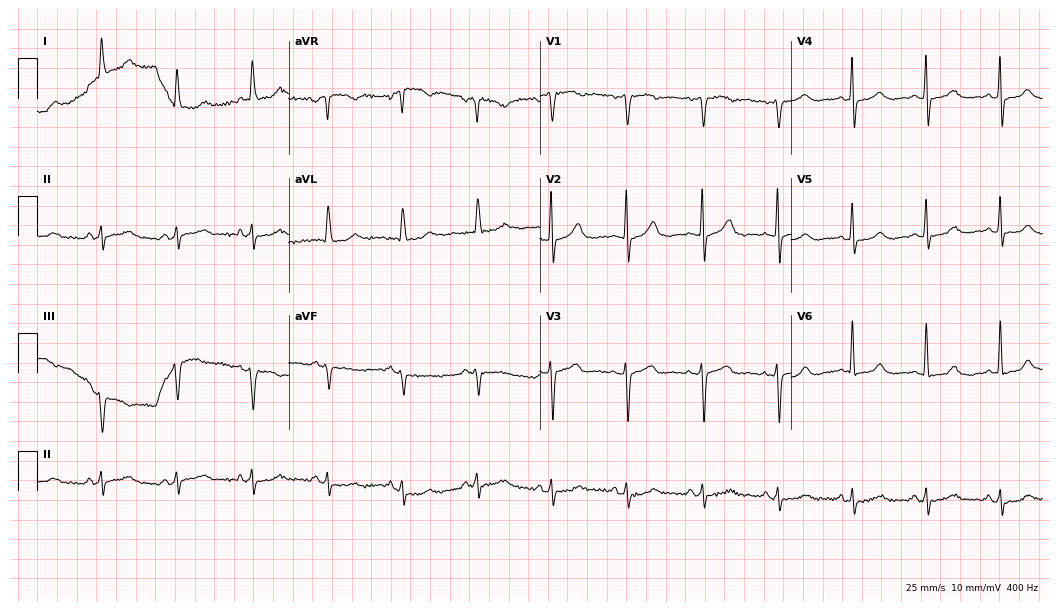
Standard 12-lead ECG recorded from a female, 77 years old. None of these six findings is recorded: first-degree AV block, right bundle branch block (RBBB), left bundle branch block (LBBB), sinus bradycardia, atrial fibrillation (AF), sinus tachycardia. Findings outside these six are not listed.